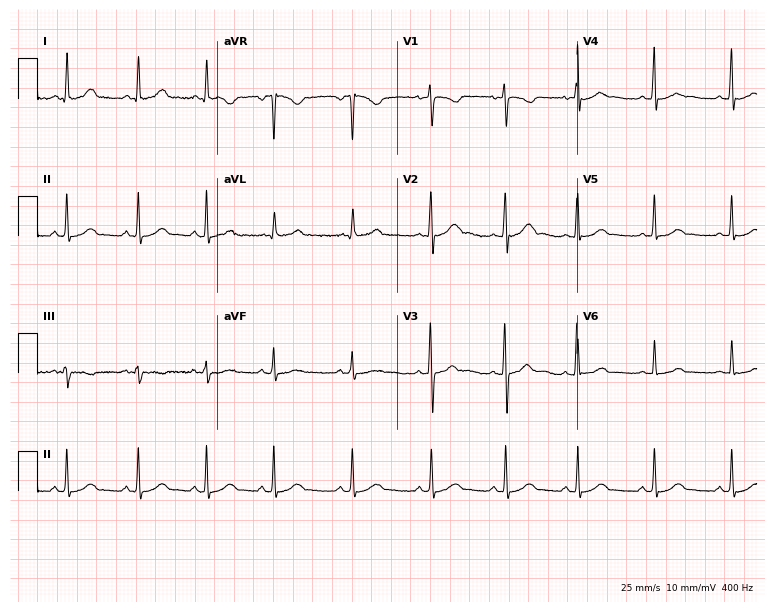
ECG (7.3-second recording at 400 Hz) — an 18-year-old woman. Screened for six findings — first-degree AV block, right bundle branch block, left bundle branch block, sinus bradycardia, atrial fibrillation, sinus tachycardia — none is recorded.